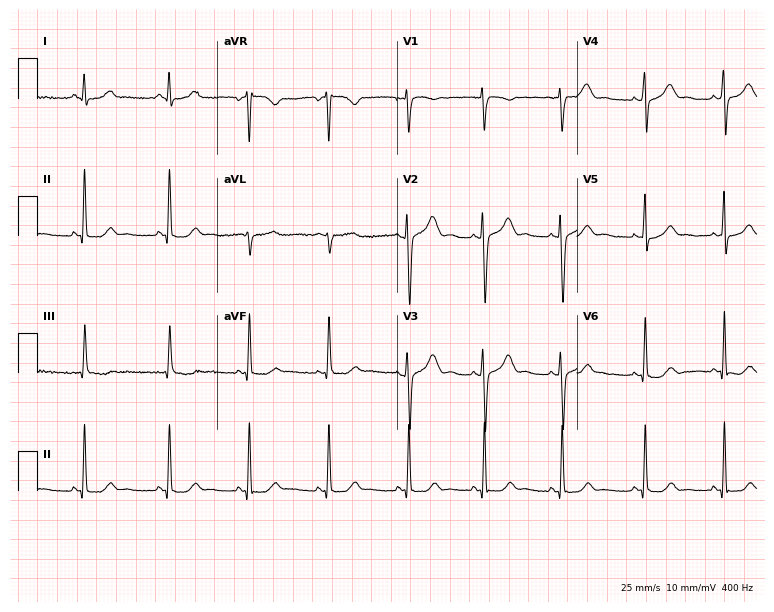
Electrocardiogram (7.3-second recording at 400 Hz), a 23-year-old female patient. Overall reading on record: normal ECG.